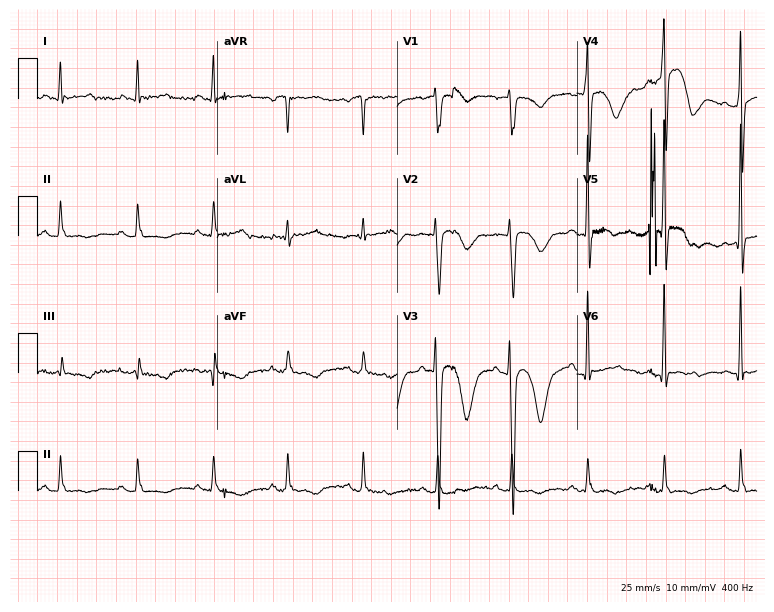
12-lead ECG from a 53-year-old male. No first-degree AV block, right bundle branch block, left bundle branch block, sinus bradycardia, atrial fibrillation or sinus tachycardia recorded for this tracing. Other findings, if any, are not listed.